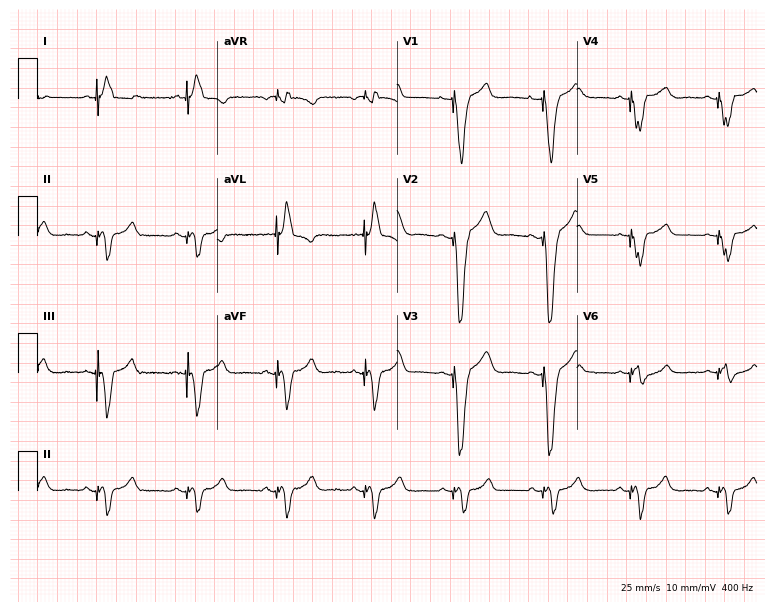
Electrocardiogram, a woman, 43 years old. Of the six screened findings (first-degree AV block, right bundle branch block (RBBB), left bundle branch block (LBBB), sinus bradycardia, atrial fibrillation (AF), sinus tachycardia), none is recorded. Other findings, if any, are not listed.